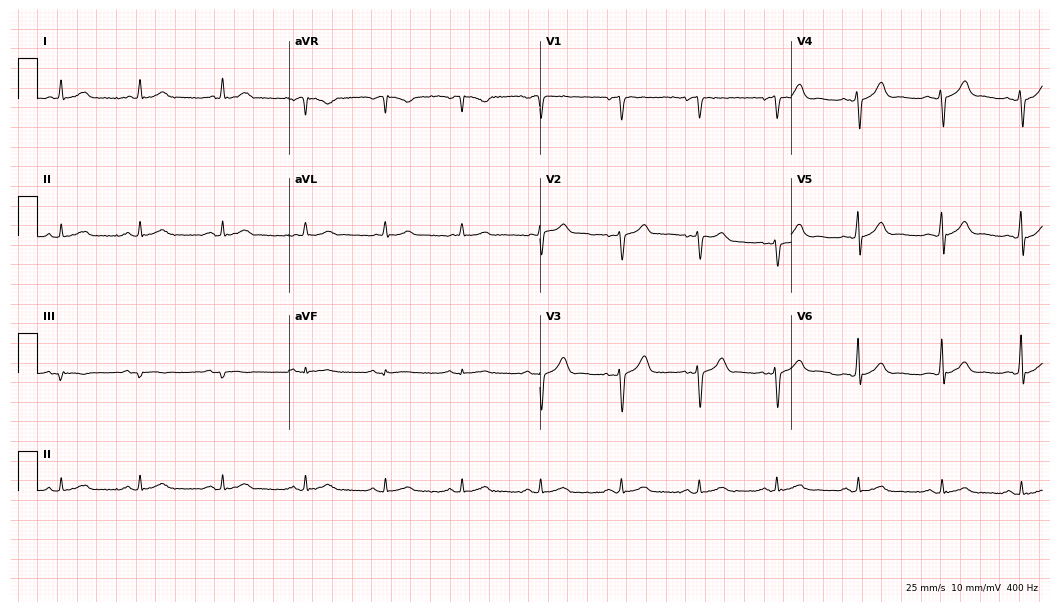
Resting 12-lead electrocardiogram. Patient: a 47-year-old male. Read as a normal ECG.